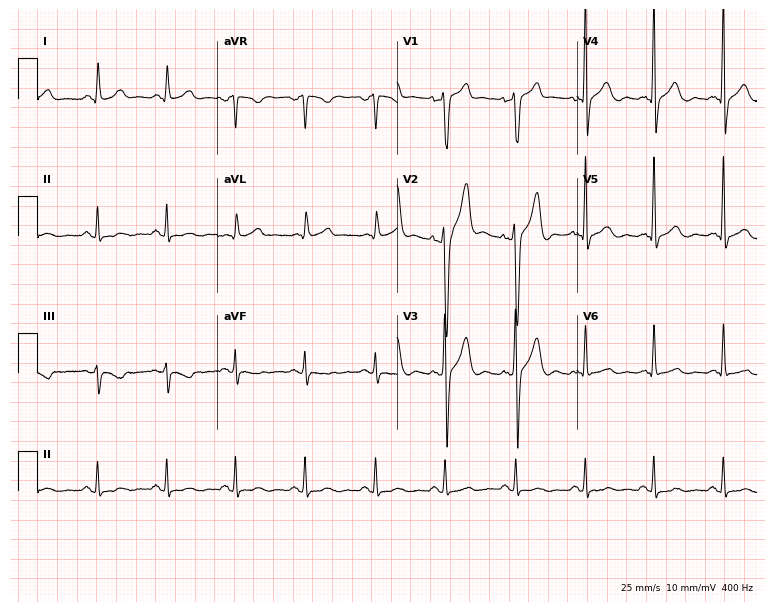
Electrocardiogram (7.3-second recording at 400 Hz), a 45-year-old male. Of the six screened findings (first-degree AV block, right bundle branch block, left bundle branch block, sinus bradycardia, atrial fibrillation, sinus tachycardia), none is recorded. Findings outside these six are not listed.